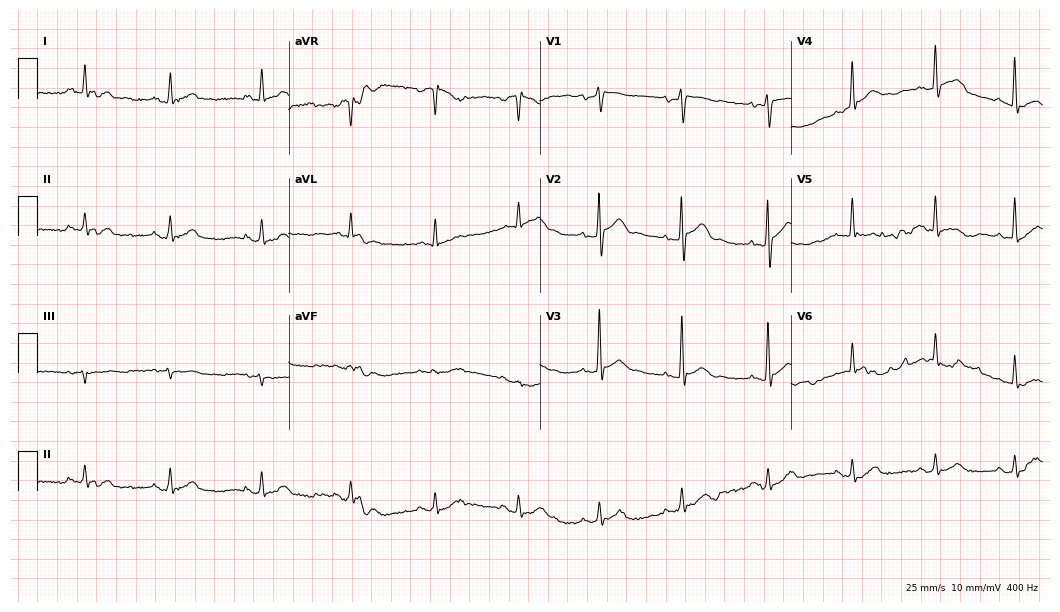
ECG — a male, 41 years old. Labelled as a normal ECG.